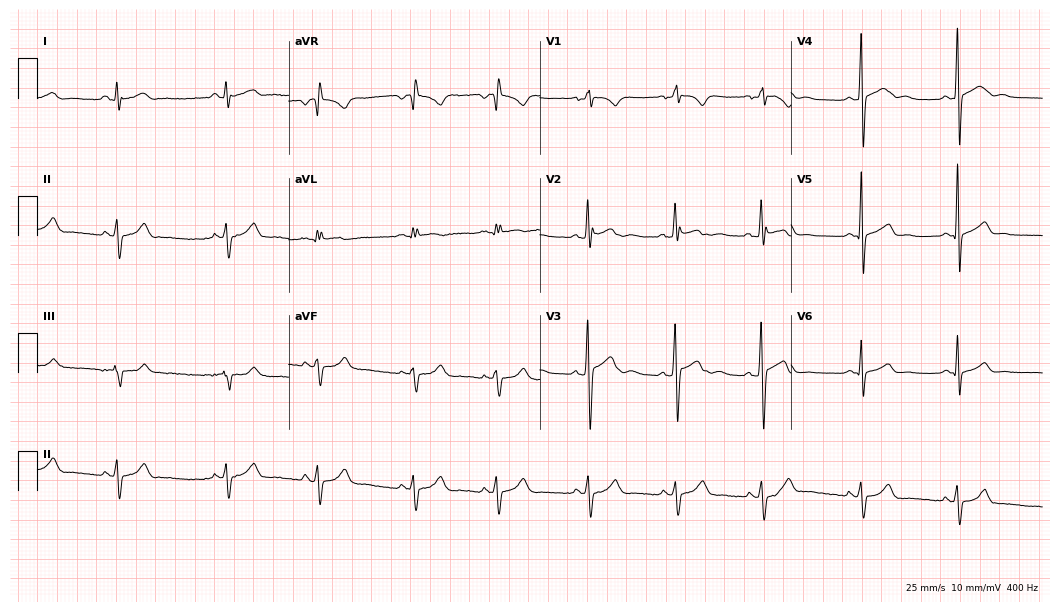
Resting 12-lead electrocardiogram. Patient: a 17-year-old man. None of these six findings is recorded: first-degree AV block, right bundle branch block, left bundle branch block, sinus bradycardia, atrial fibrillation, sinus tachycardia.